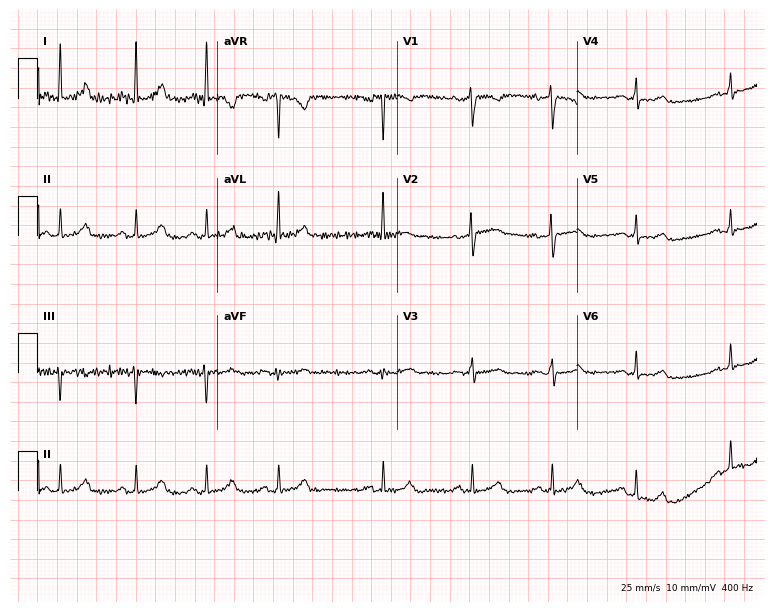
12-lead ECG from a 37-year-old woman. Recorded interpretation: within normal limits.